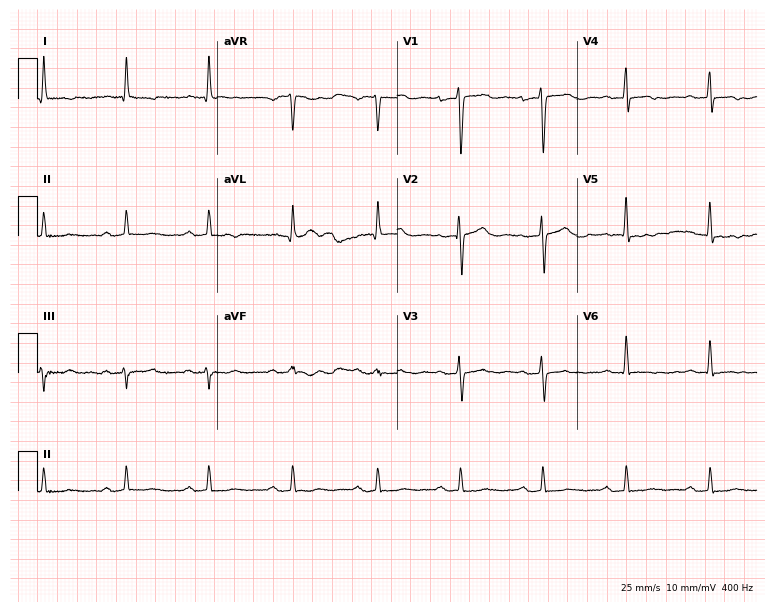
12-lead ECG from a female patient, 82 years old. Screened for six findings — first-degree AV block, right bundle branch block (RBBB), left bundle branch block (LBBB), sinus bradycardia, atrial fibrillation (AF), sinus tachycardia — none is recorded. Only these six findings were labelled.